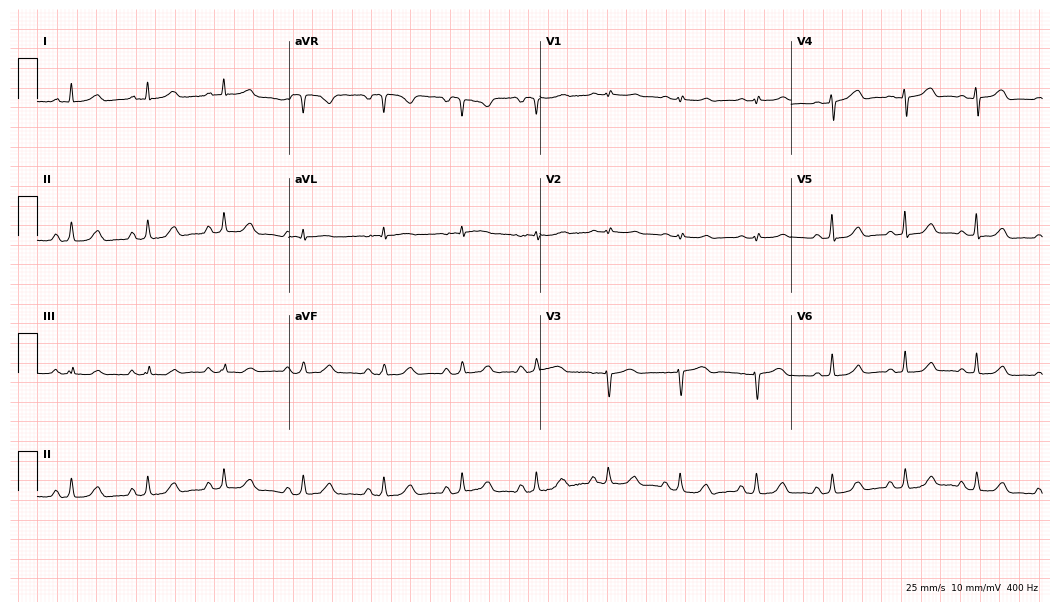
Standard 12-lead ECG recorded from a female, 57 years old (10.2-second recording at 400 Hz). Read as a normal ECG.